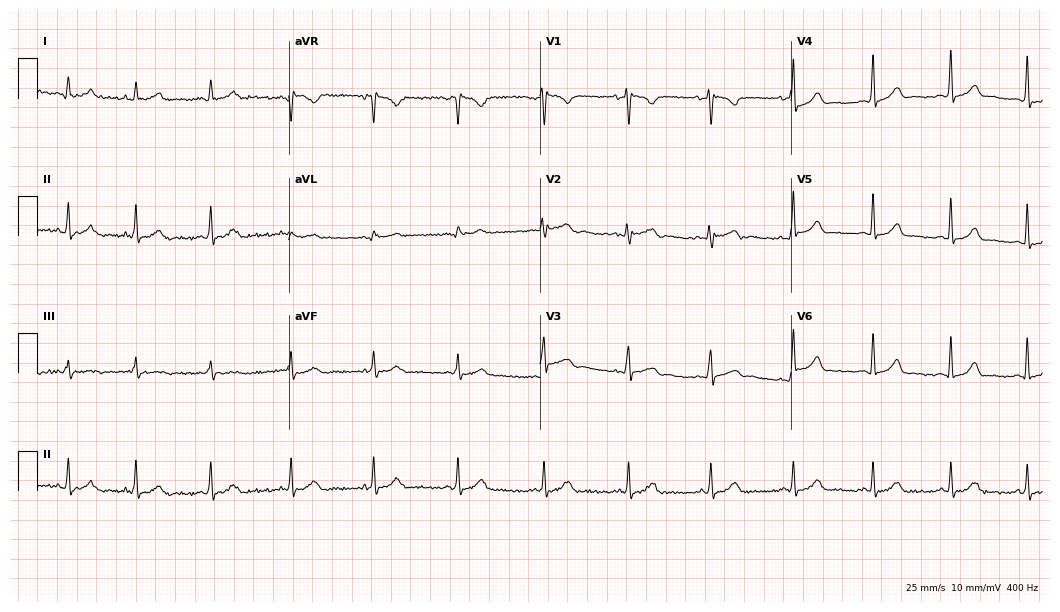
Standard 12-lead ECG recorded from a female, 28 years old (10.2-second recording at 400 Hz). None of these six findings is recorded: first-degree AV block, right bundle branch block, left bundle branch block, sinus bradycardia, atrial fibrillation, sinus tachycardia. Findings outside these six are not listed.